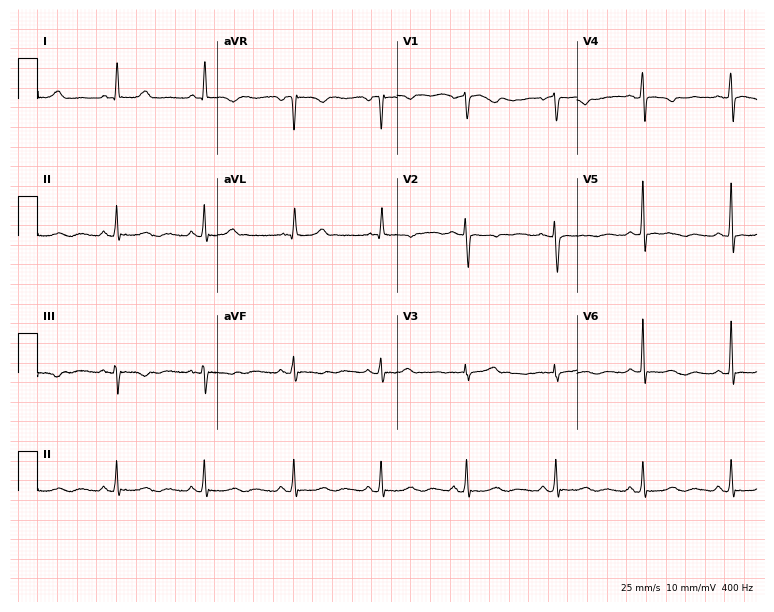
Electrocardiogram (7.3-second recording at 400 Hz), a 56-year-old female patient. Of the six screened findings (first-degree AV block, right bundle branch block (RBBB), left bundle branch block (LBBB), sinus bradycardia, atrial fibrillation (AF), sinus tachycardia), none is recorded.